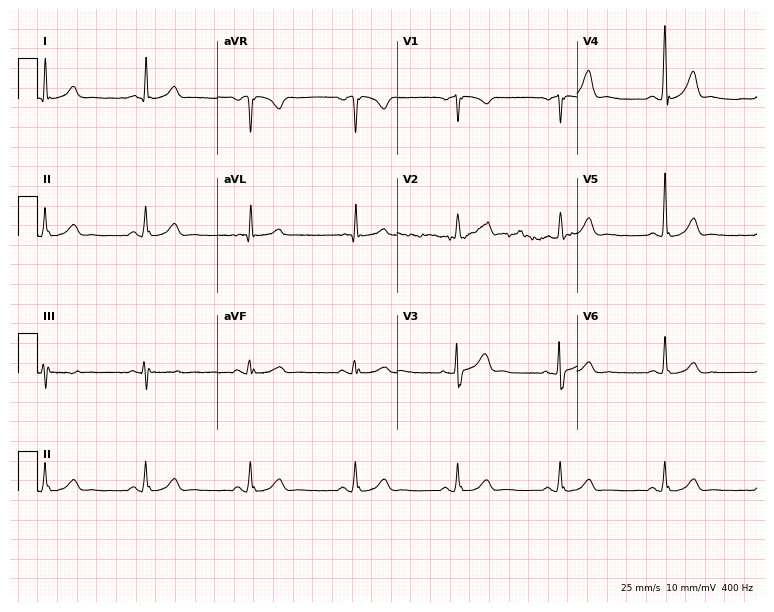
12-lead ECG from a man, 54 years old. Screened for six findings — first-degree AV block, right bundle branch block, left bundle branch block, sinus bradycardia, atrial fibrillation, sinus tachycardia — none is recorded.